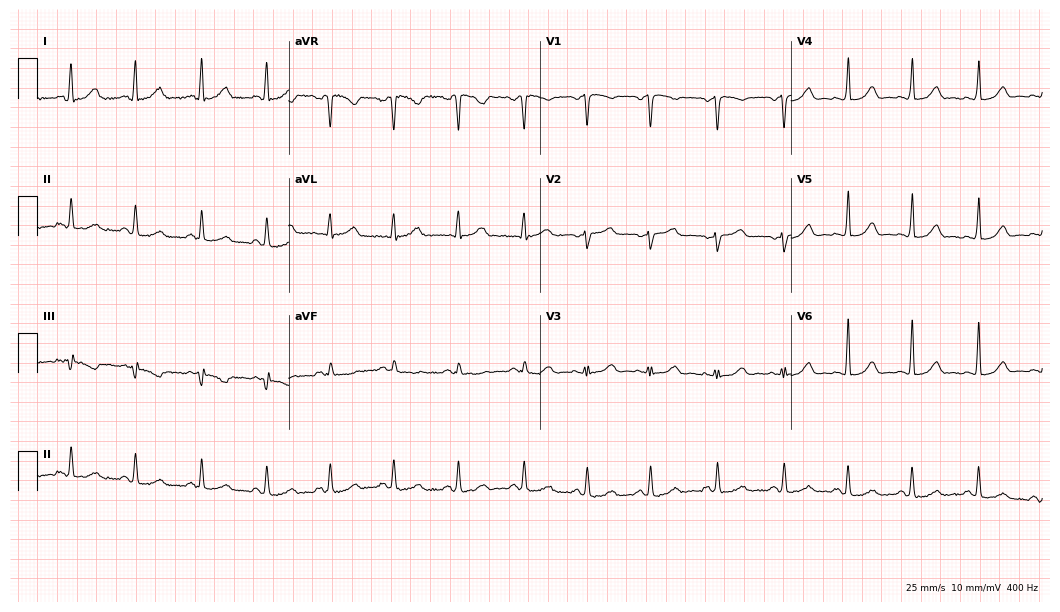
ECG (10.2-second recording at 400 Hz) — a female, 39 years old. Labelled as a normal ECG.